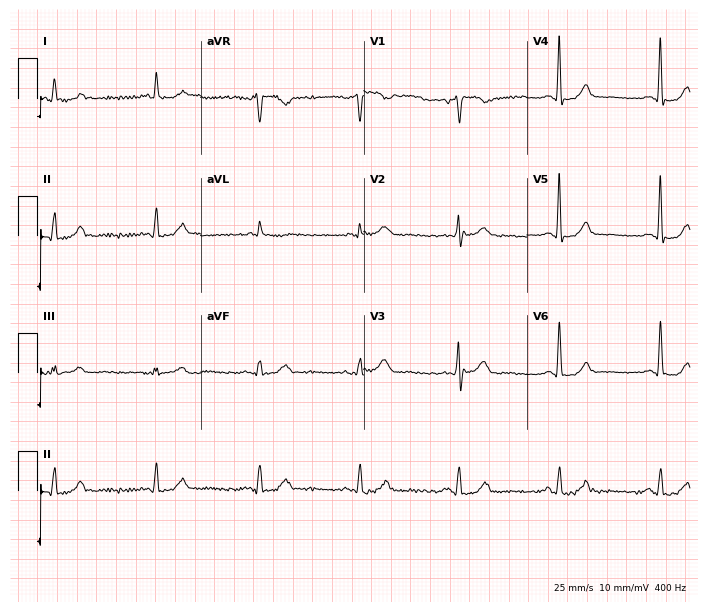
12-lead ECG from a male patient, 69 years old (6.7-second recording at 400 Hz). No first-degree AV block, right bundle branch block (RBBB), left bundle branch block (LBBB), sinus bradycardia, atrial fibrillation (AF) or sinus tachycardia recorded for this tracing. Other findings, if any, are not listed.